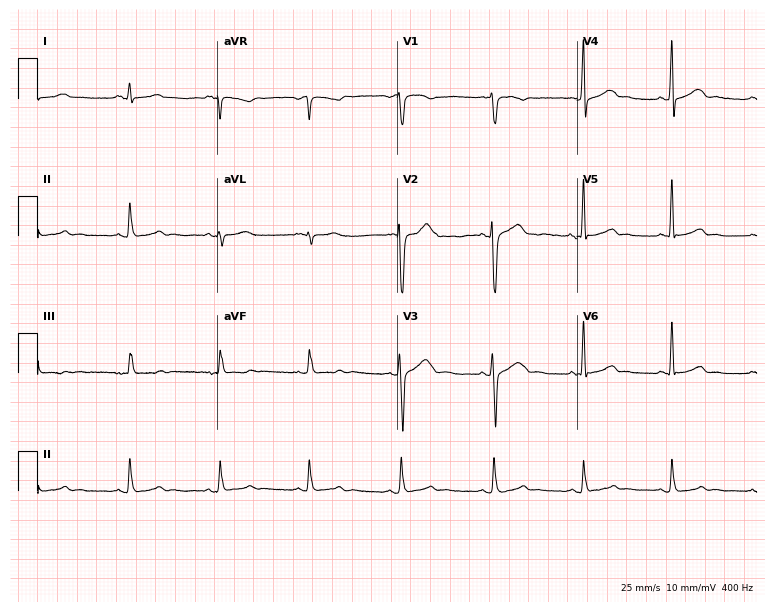
ECG — a male, 32 years old. Screened for six findings — first-degree AV block, right bundle branch block (RBBB), left bundle branch block (LBBB), sinus bradycardia, atrial fibrillation (AF), sinus tachycardia — none is recorded.